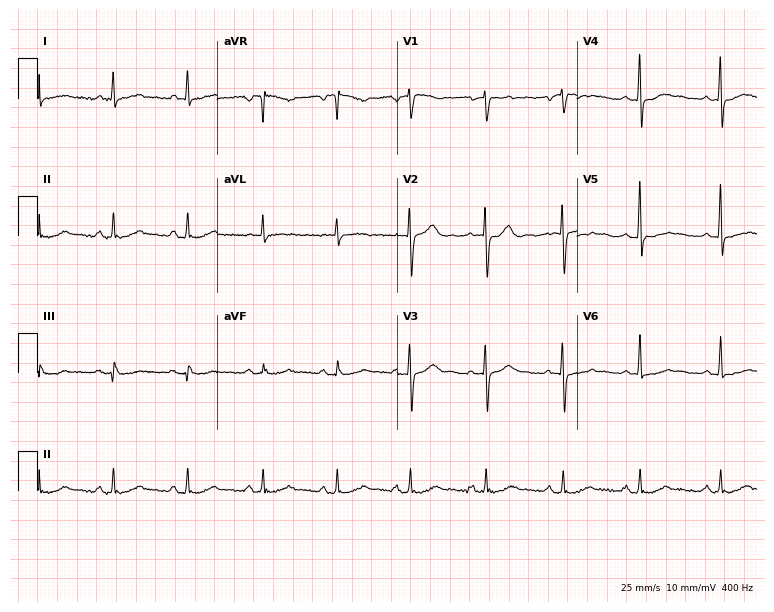
Electrocardiogram, a 52-year-old male patient. Overall reading on record: normal ECG.